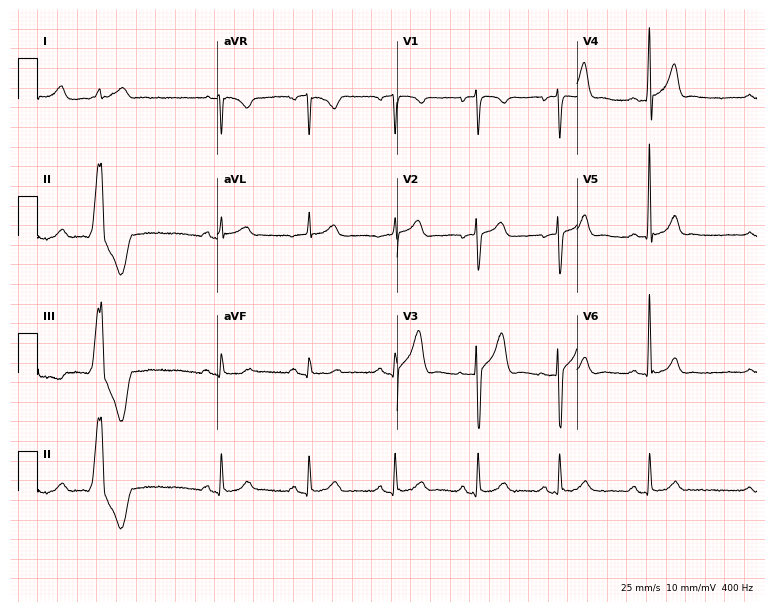
Standard 12-lead ECG recorded from a 45-year-old man (7.3-second recording at 400 Hz). None of these six findings is recorded: first-degree AV block, right bundle branch block (RBBB), left bundle branch block (LBBB), sinus bradycardia, atrial fibrillation (AF), sinus tachycardia.